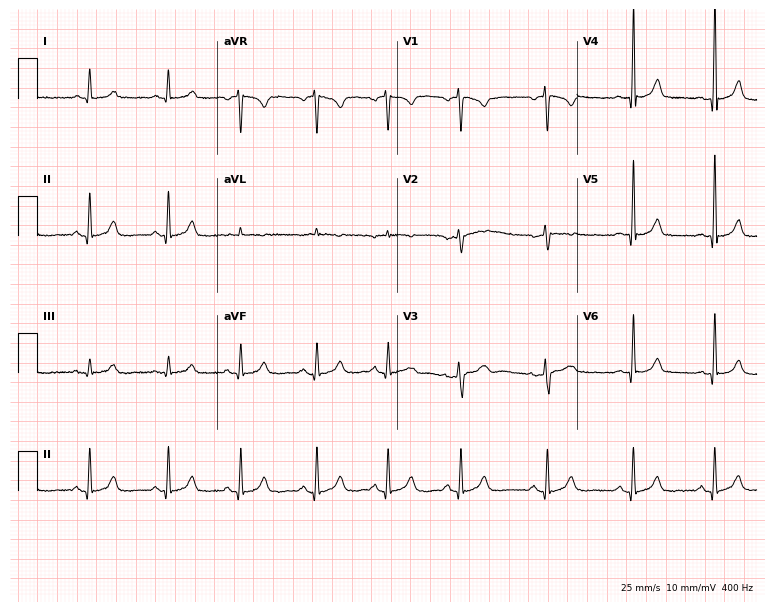
Standard 12-lead ECG recorded from a female, 44 years old (7.3-second recording at 400 Hz). Read as a normal ECG.